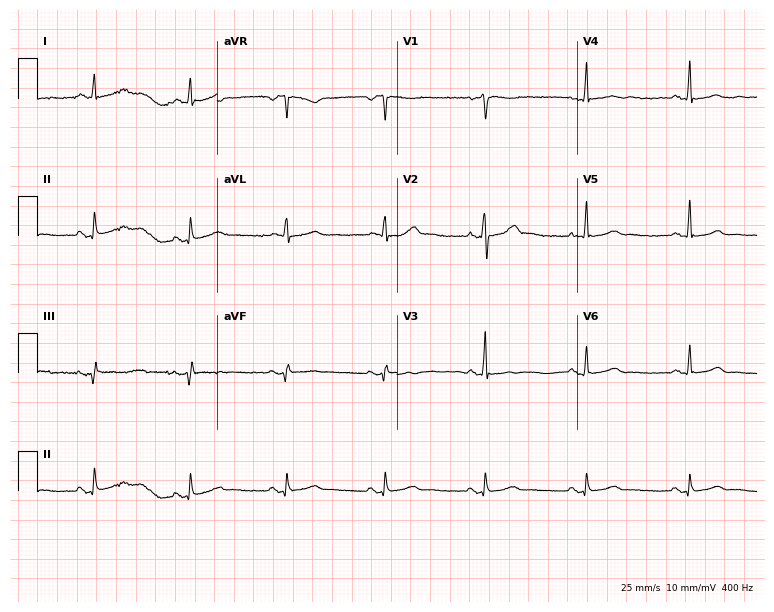
12-lead ECG from a male patient, 43 years old. Recorded interpretation: within normal limits.